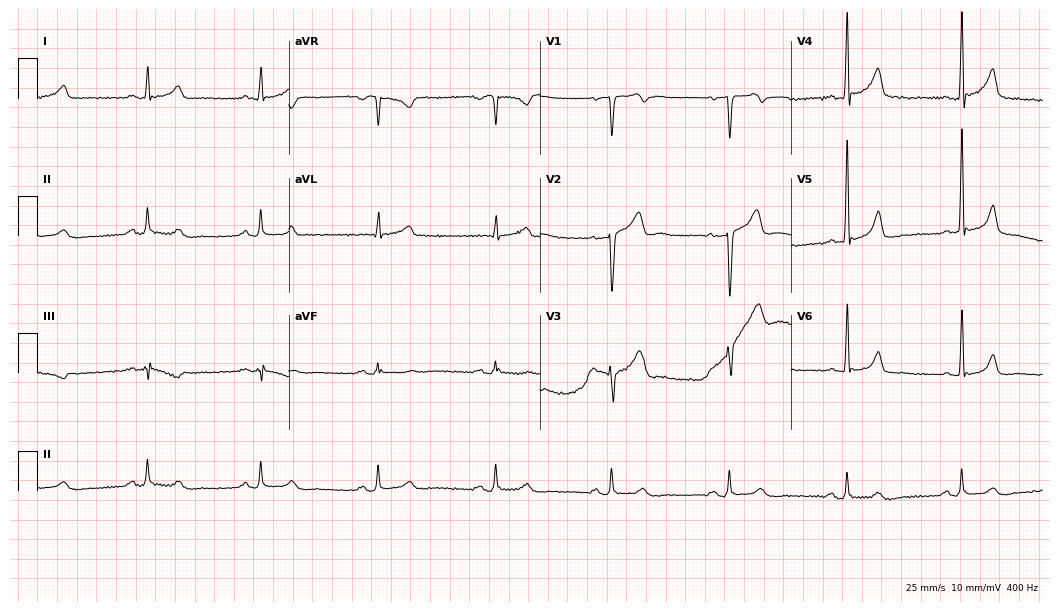
12-lead ECG from a man, 59 years old. Recorded interpretation: within normal limits.